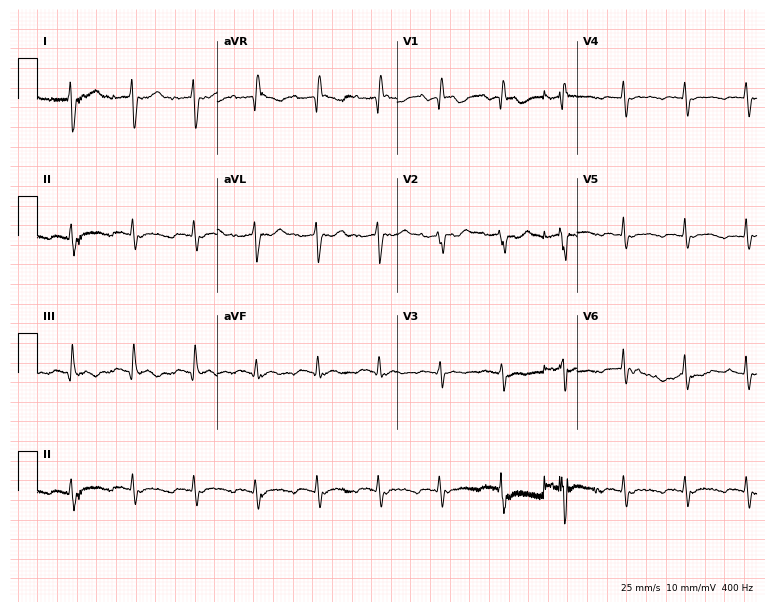
12-lead ECG from a woman, 45 years old (7.3-second recording at 400 Hz). No first-degree AV block, right bundle branch block, left bundle branch block, sinus bradycardia, atrial fibrillation or sinus tachycardia recorded for this tracing.